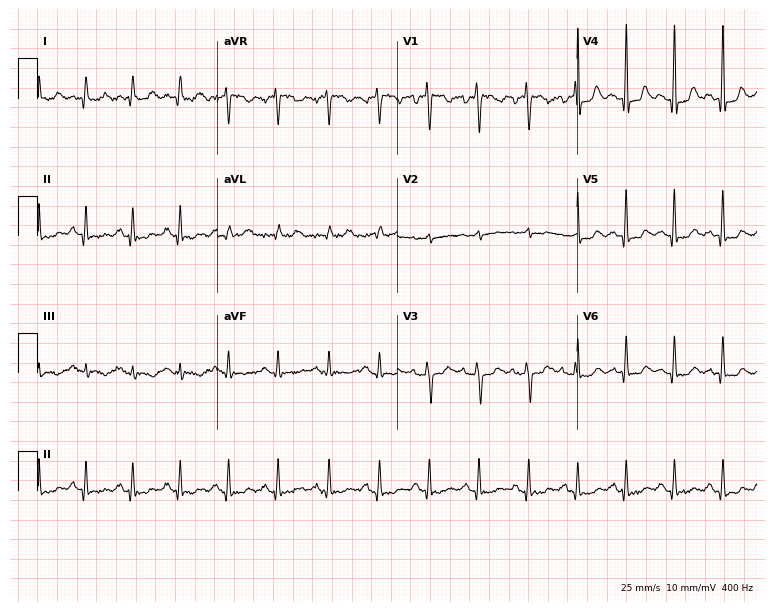
12-lead ECG from a female, 47 years old. Findings include sinus tachycardia (a sinus rate of 100 beats per minute or more).